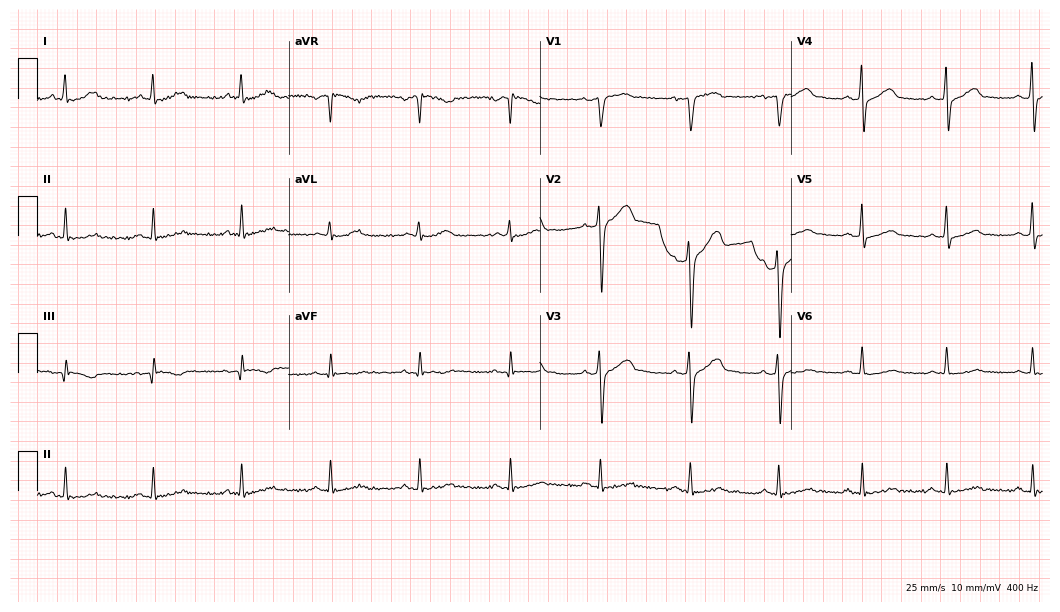
12-lead ECG from a man, 48 years old. Labelled as a normal ECG.